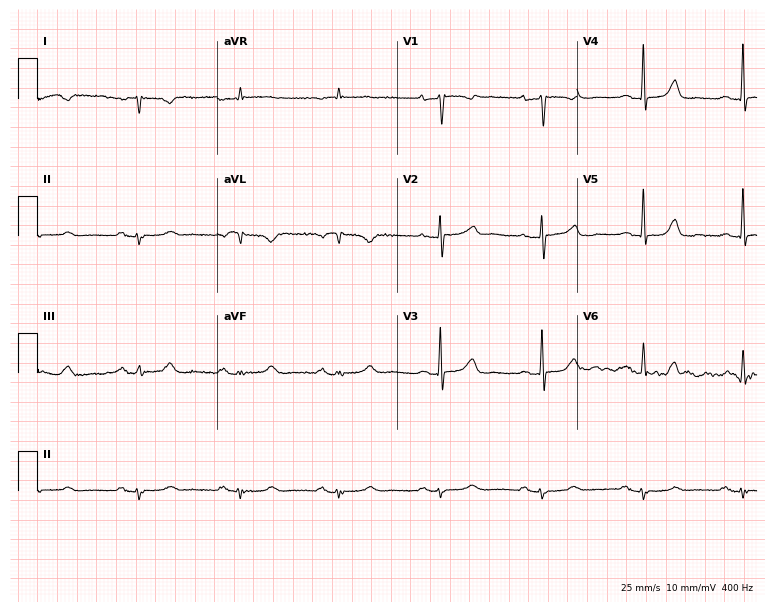
12-lead ECG from a 67-year-old female patient. Screened for six findings — first-degree AV block, right bundle branch block, left bundle branch block, sinus bradycardia, atrial fibrillation, sinus tachycardia — none is recorded.